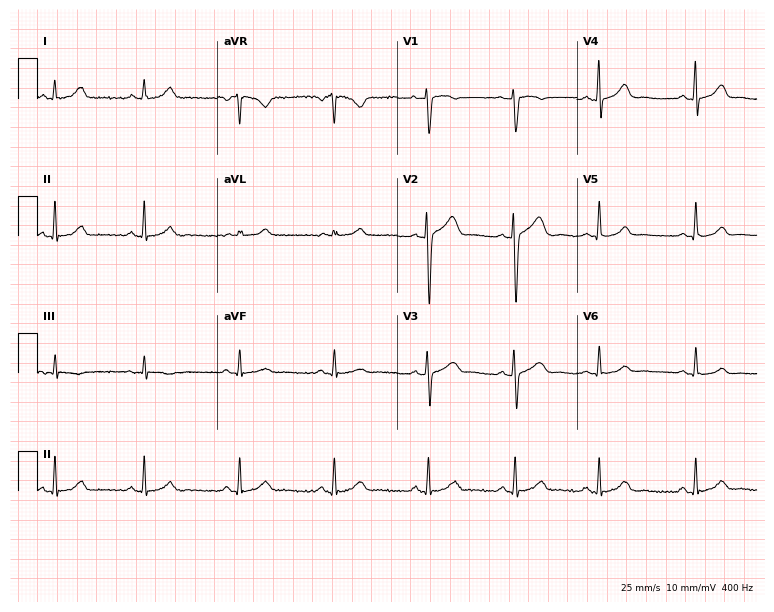
12-lead ECG from a 30-year-old woman (7.3-second recording at 400 Hz). Recorded interpretation: within normal limits.